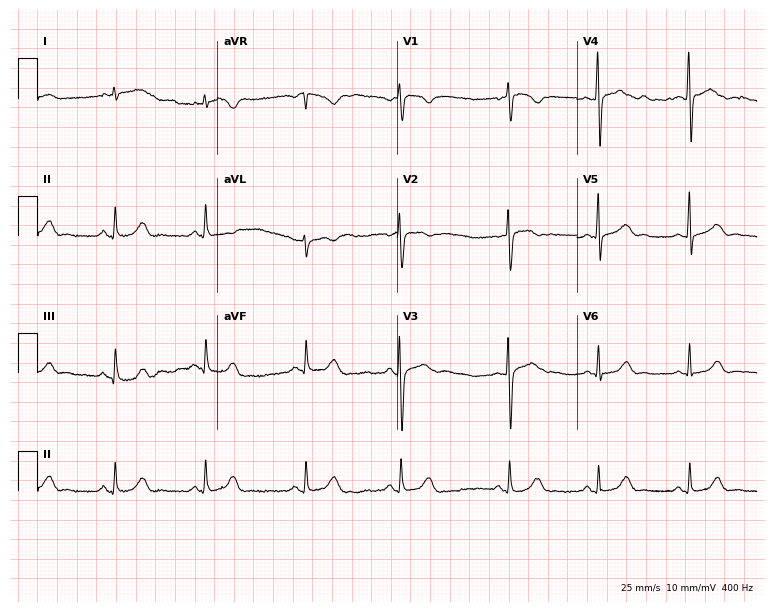
ECG — a 22-year-old female patient. Labelled as a normal ECG.